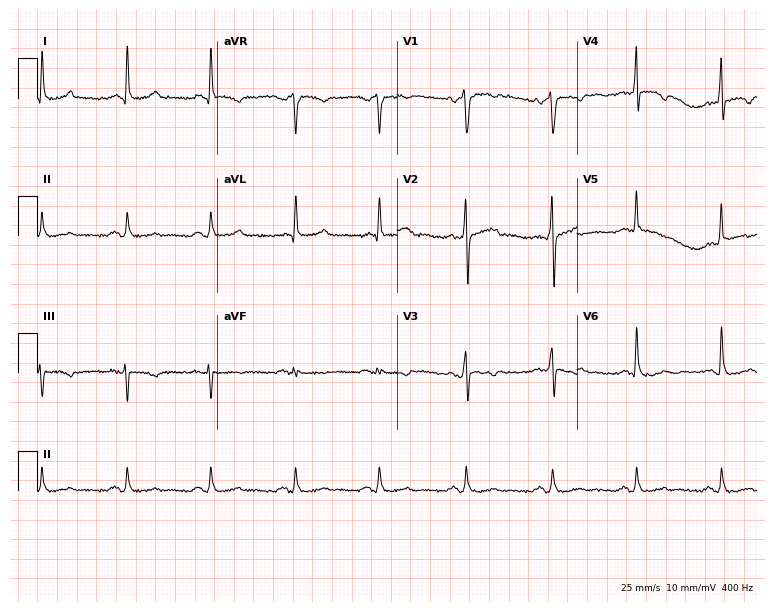
Standard 12-lead ECG recorded from a 45-year-old male patient. None of these six findings is recorded: first-degree AV block, right bundle branch block, left bundle branch block, sinus bradycardia, atrial fibrillation, sinus tachycardia.